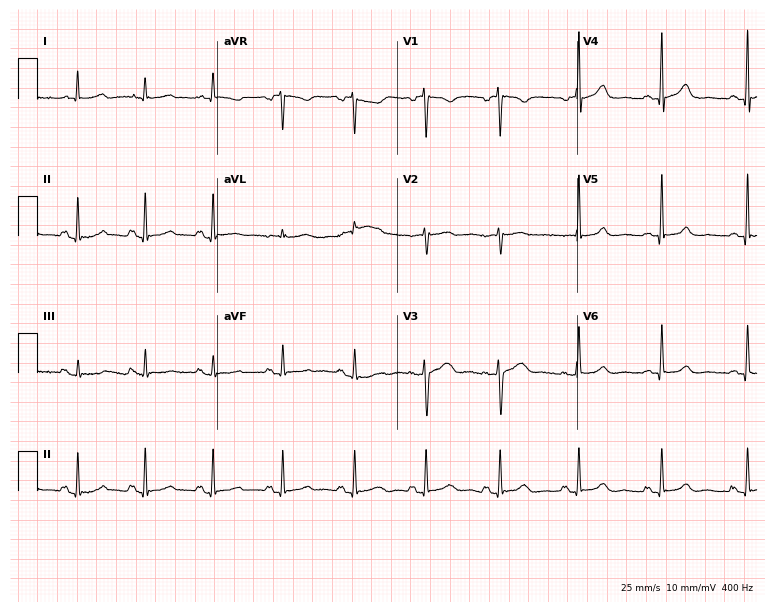
Electrocardiogram (7.3-second recording at 400 Hz), a 45-year-old woman. Of the six screened findings (first-degree AV block, right bundle branch block, left bundle branch block, sinus bradycardia, atrial fibrillation, sinus tachycardia), none is recorded. Other findings, if any, are not listed.